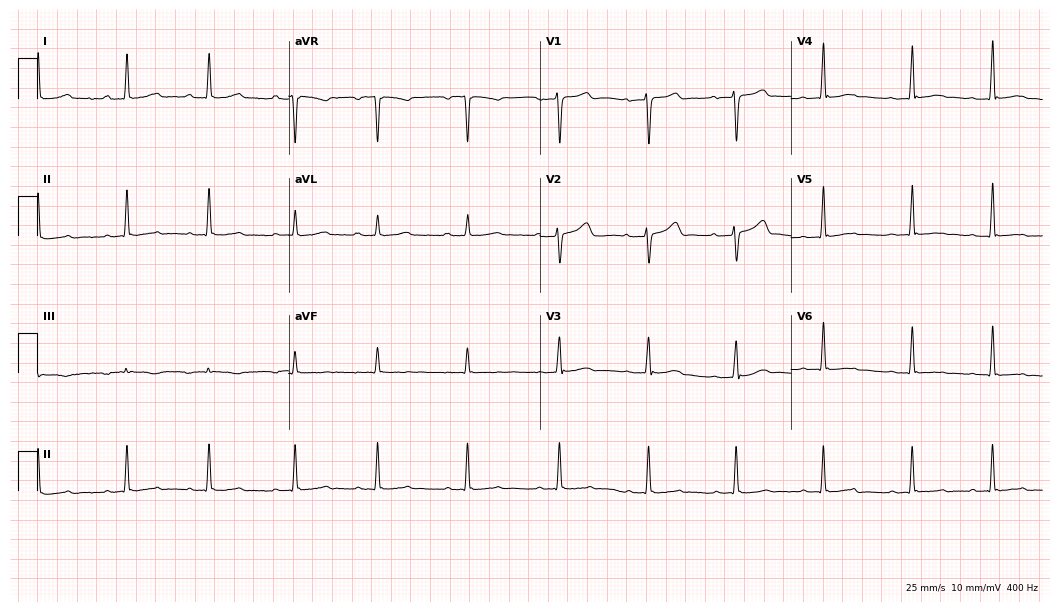
12-lead ECG from a female patient, 35 years old (10.2-second recording at 400 Hz). No first-degree AV block, right bundle branch block (RBBB), left bundle branch block (LBBB), sinus bradycardia, atrial fibrillation (AF) or sinus tachycardia recorded for this tracing. Findings outside these six are not listed.